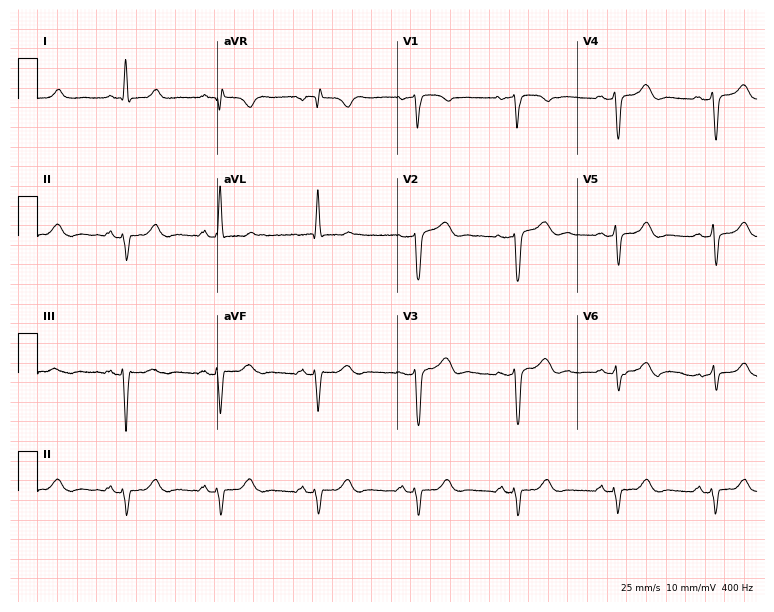
Electrocardiogram, a 71-year-old female patient. Of the six screened findings (first-degree AV block, right bundle branch block, left bundle branch block, sinus bradycardia, atrial fibrillation, sinus tachycardia), none is recorded.